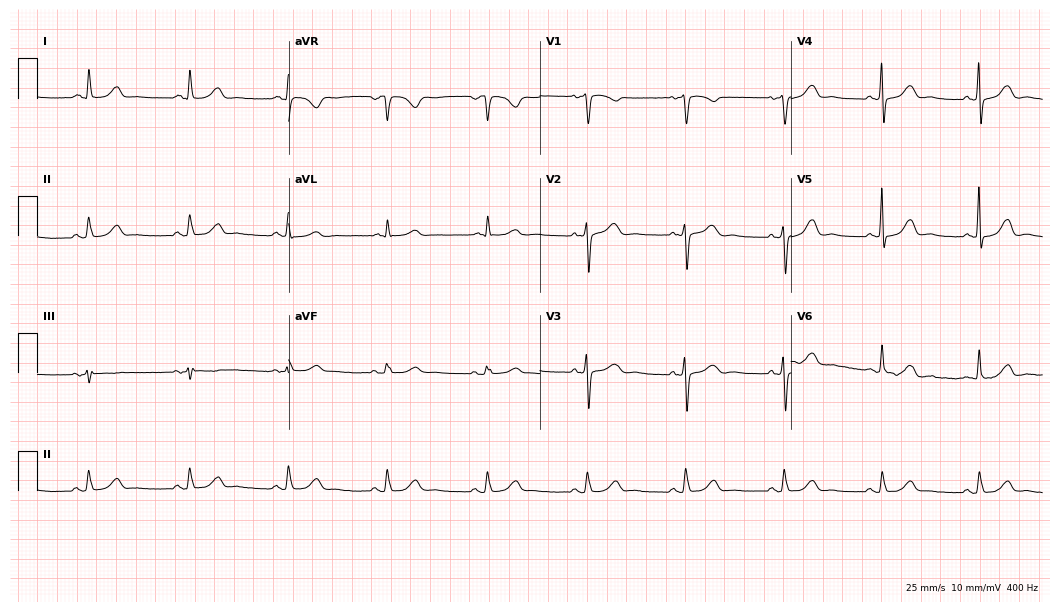
Electrocardiogram (10.2-second recording at 400 Hz), a 75-year-old female patient. Overall reading on record: normal ECG.